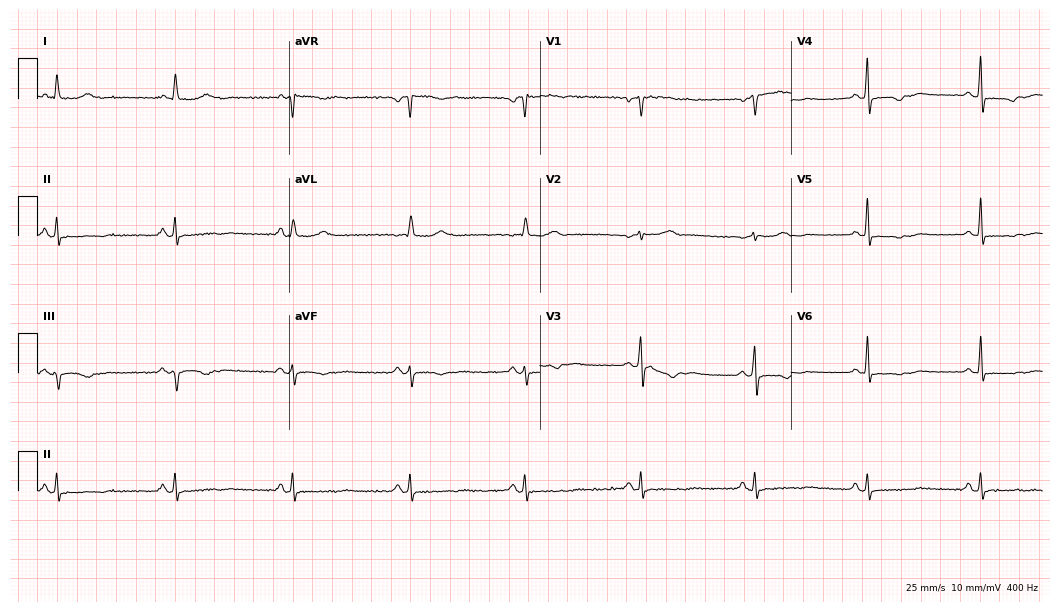
Electrocardiogram, a woman, 58 years old. Interpretation includes sinus bradycardia (a sinus rate of 50 beats per minute or less).